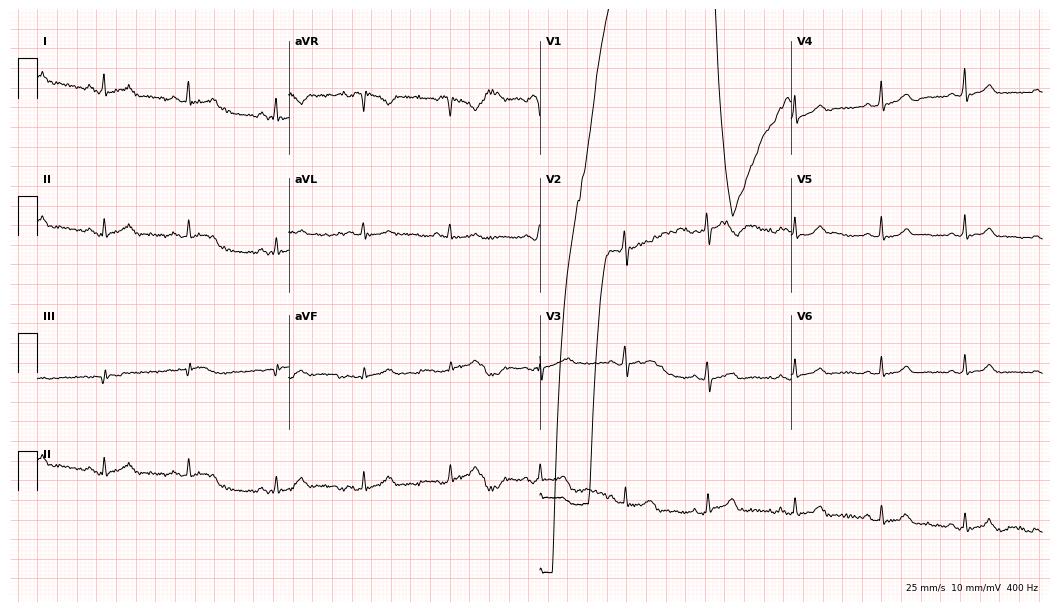
12-lead ECG from a female, 37 years old. Labelled as a normal ECG.